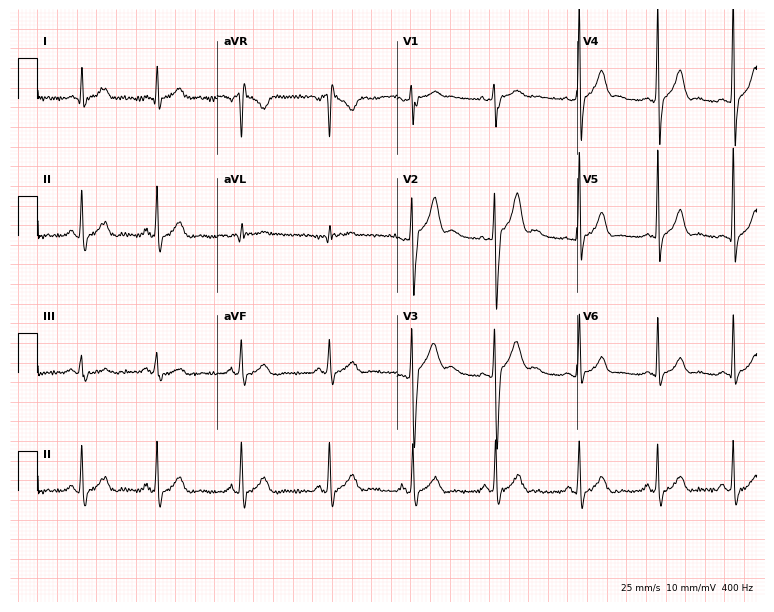
12-lead ECG from a 25-year-old male. No first-degree AV block, right bundle branch block, left bundle branch block, sinus bradycardia, atrial fibrillation or sinus tachycardia recorded for this tracing. Findings outside these six are not listed.